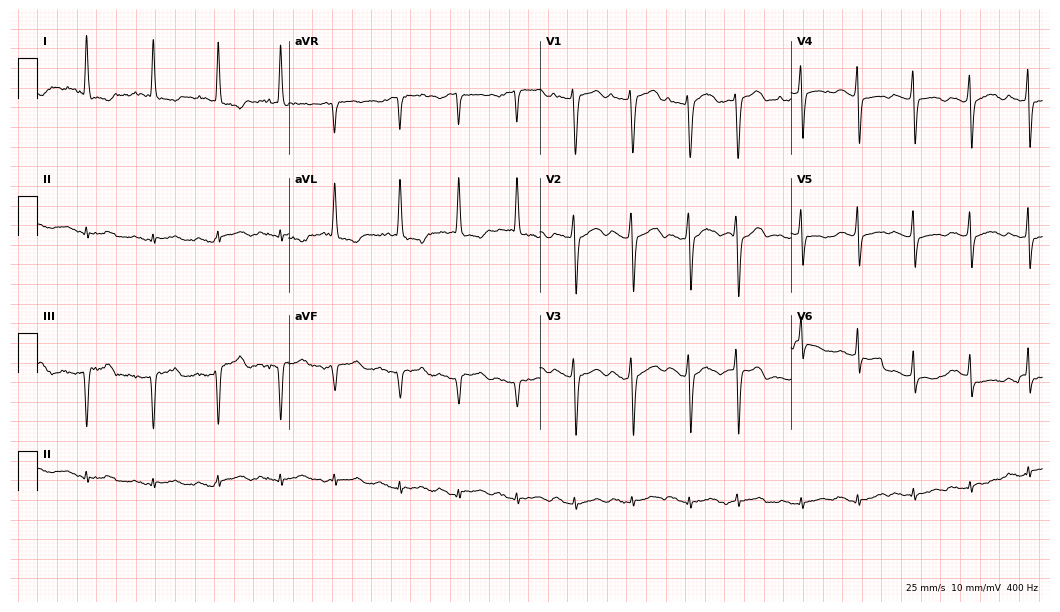
12-lead ECG from an 85-year-old female. No first-degree AV block, right bundle branch block, left bundle branch block, sinus bradycardia, atrial fibrillation or sinus tachycardia recorded for this tracing. Findings outside these six are not listed.